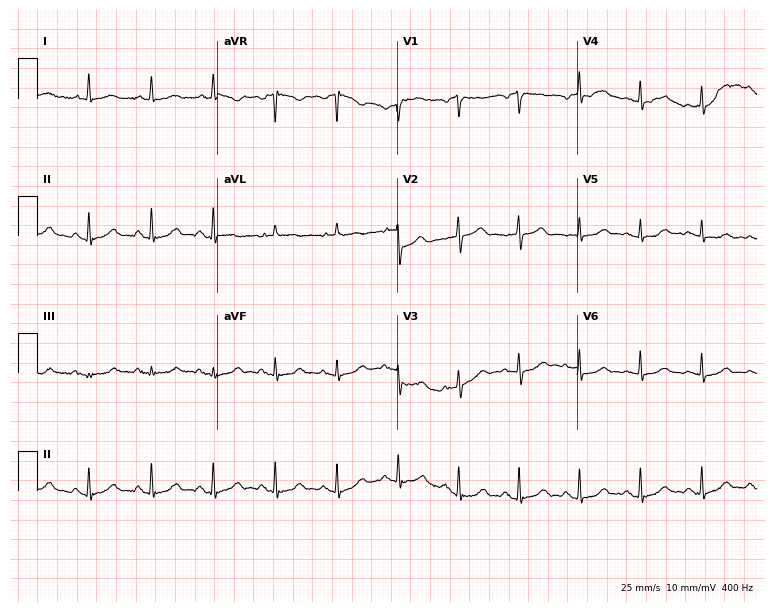
ECG — a 70-year-old female patient. Labelled as a normal ECG.